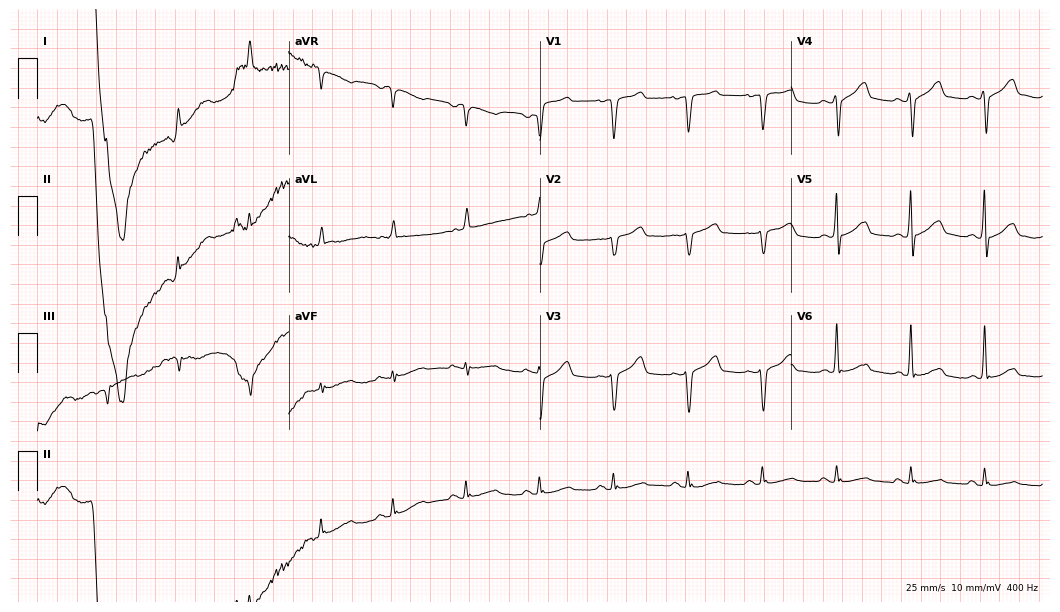
12-lead ECG from a 63-year-old male patient. Recorded interpretation: within normal limits.